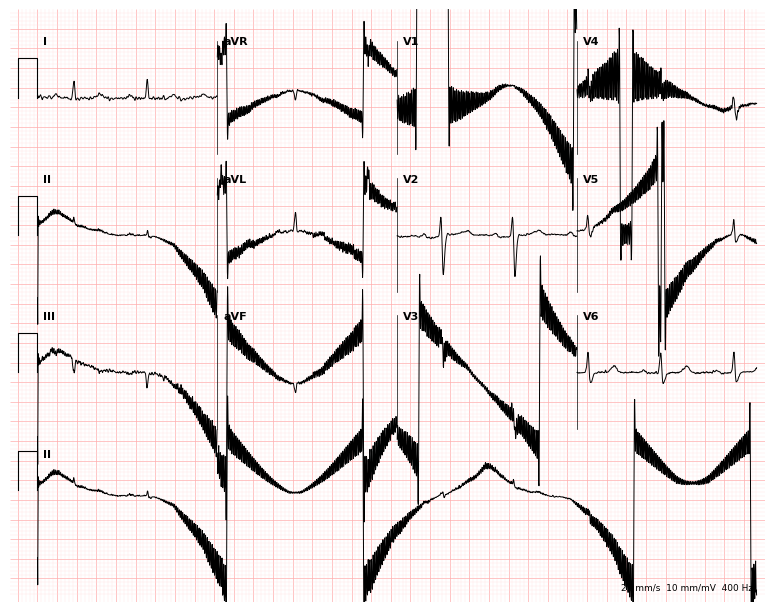
ECG (7.3-second recording at 400 Hz) — a woman, 59 years old. Screened for six findings — first-degree AV block, right bundle branch block, left bundle branch block, sinus bradycardia, atrial fibrillation, sinus tachycardia — none is recorded.